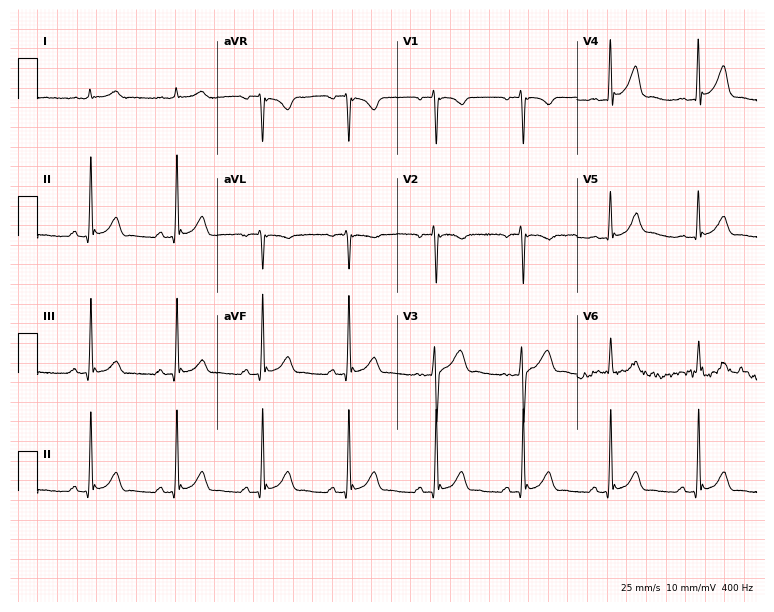
12-lead ECG from a 34-year-old male (7.3-second recording at 400 Hz). No first-degree AV block, right bundle branch block, left bundle branch block, sinus bradycardia, atrial fibrillation or sinus tachycardia recorded for this tracing.